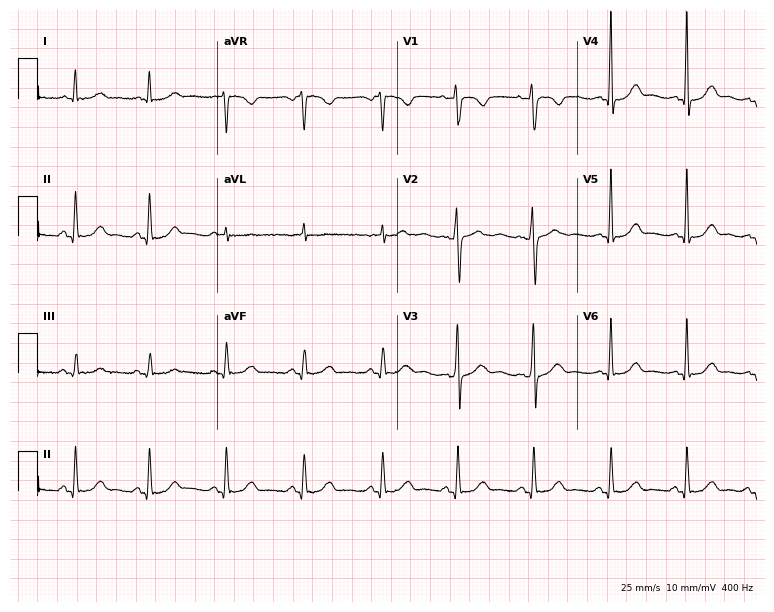
ECG (7.3-second recording at 400 Hz) — a female patient, 43 years old. Labelled as a normal ECG.